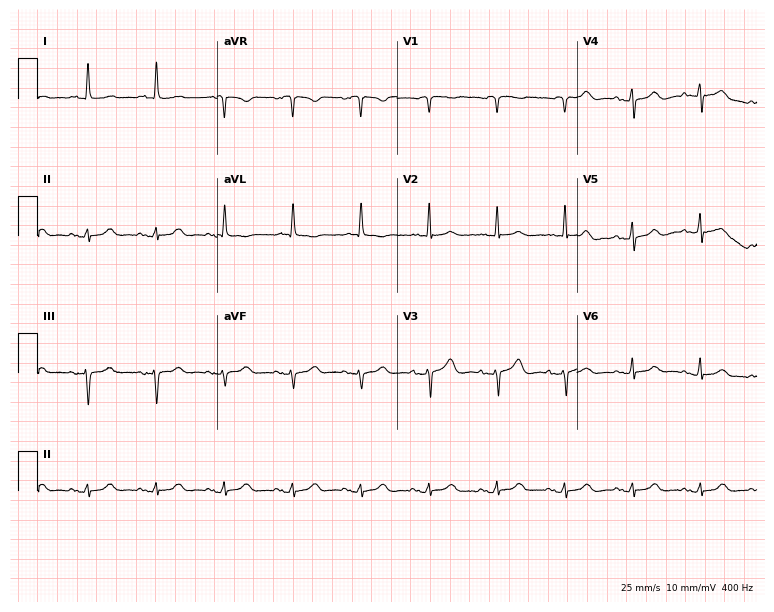
Electrocardiogram, an 82-year-old woman. Of the six screened findings (first-degree AV block, right bundle branch block (RBBB), left bundle branch block (LBBB), sinus bradycardia, atrial fibrillation (AF), sinus tachycardia), none is recorded. Other findings, if any, are not listed.